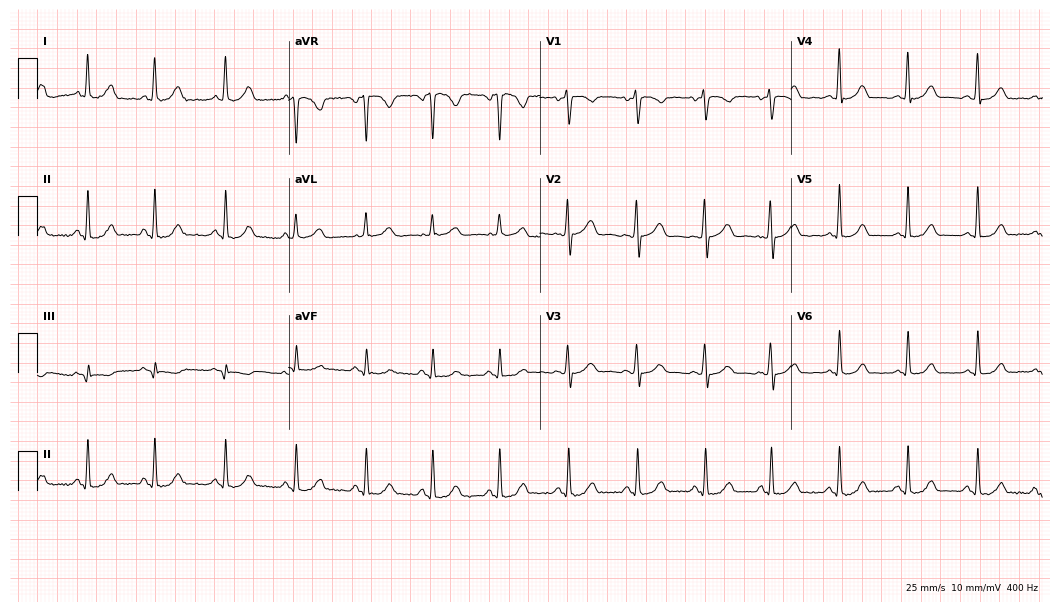
Standard 12-lead ECG recorded from a female, 42 years old. Read as a normal ECG.